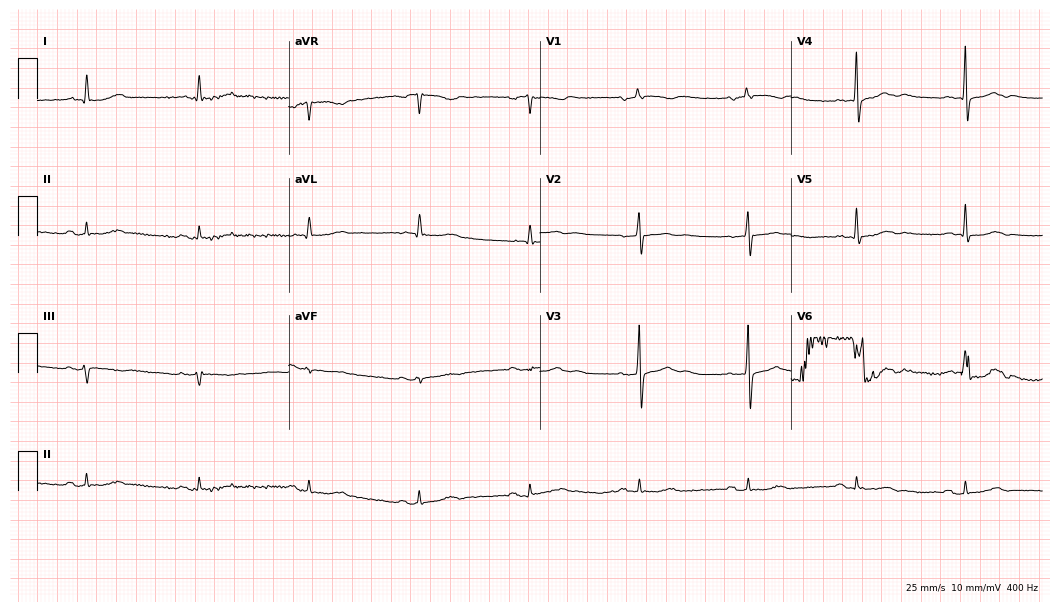
ECG — a 72-year-old male patient. Labelled as a normal ECG.